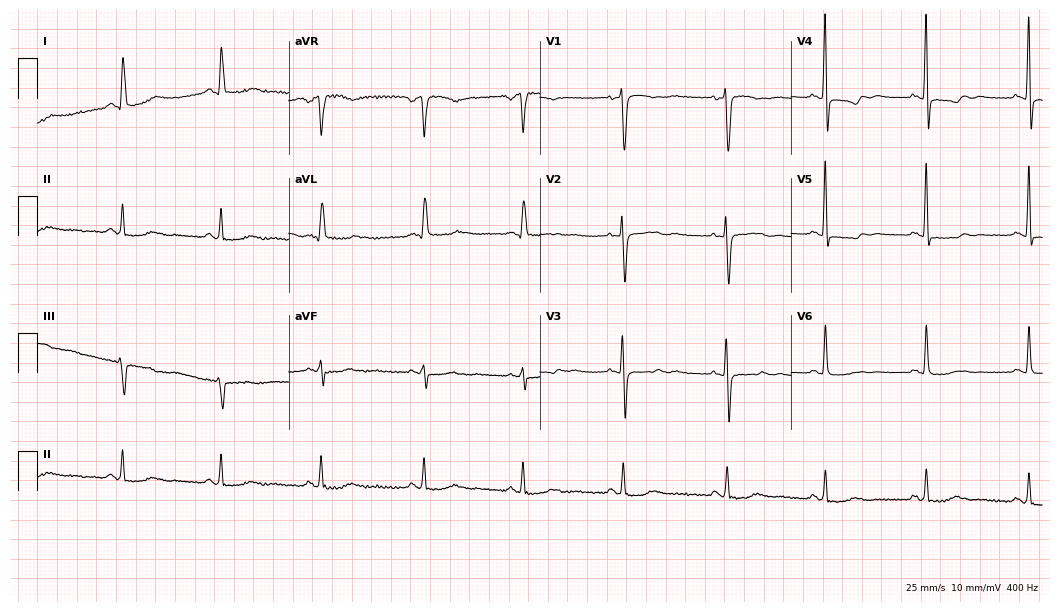
12-lead ECG from a woman, 51 years old. No first-degree AV block, right bundle branch block, left bundle branch block, sinus bradycardia, atrial fibrillation or sinus tachycardia recorded for this tracing. Other findings, if any, are not listed.